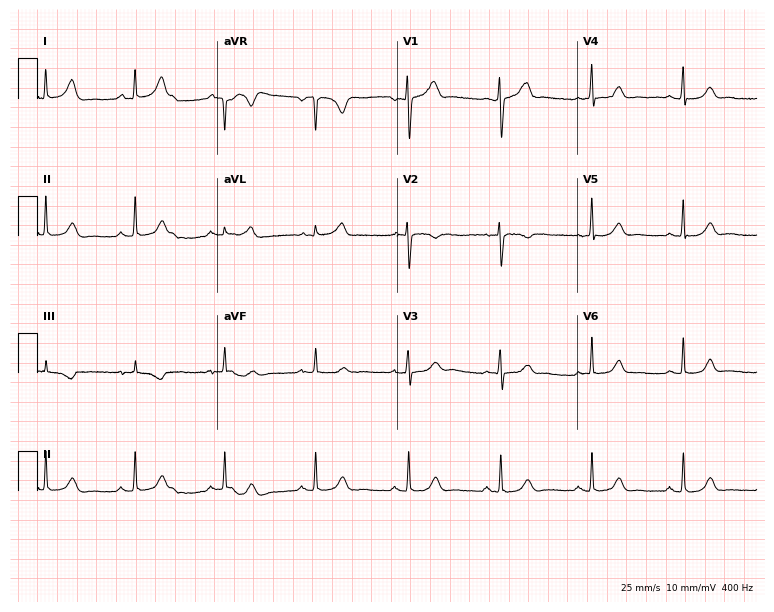
12-lead ECG from a 43-year-old woman (7.3-second recording at 400 Hz). Recorded interpretation: within normal limits.